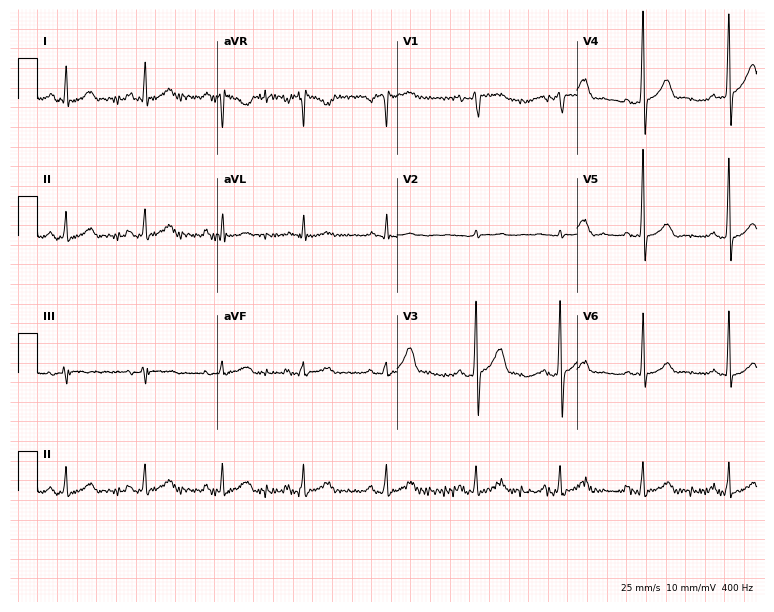
Electrocardiogram, a 30-year-old male patient. Overall reading on record: normal ECG.